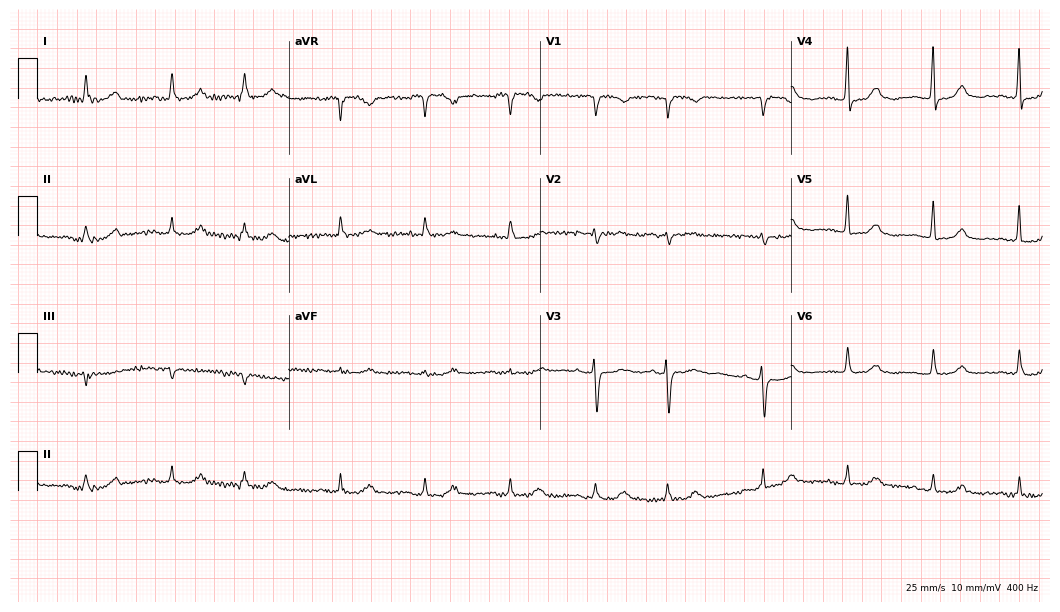
Resting 12-lead electrocardiogram. Patient: a female, 82 years old. None of these six findings is recorded: first-degree AV block, right bundle branch block (RBBB), left bundle branch block (LBBB), sinus bradycardia, atrial fibrillation (AF), sinus tachycardia.